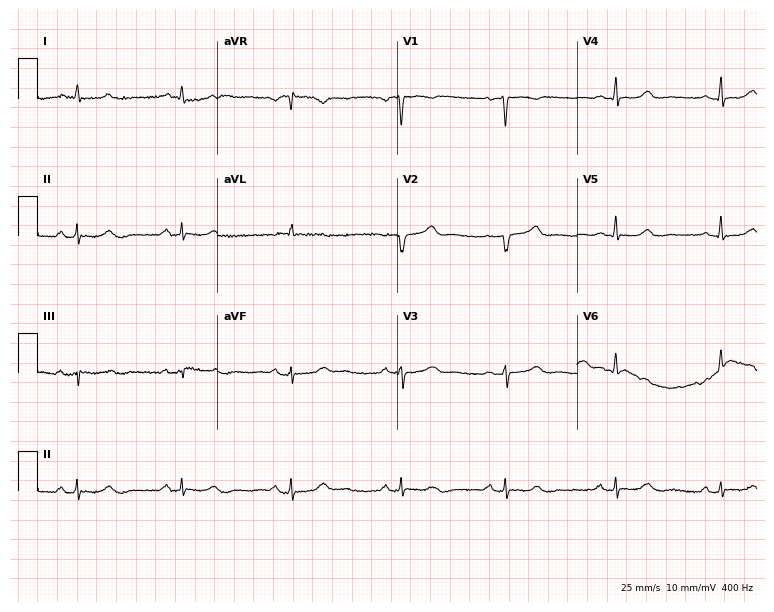
12-lead ECG (7.3-second recording at 400 Hz) from a 53-year-old woman. Labelled as a normal ECG.